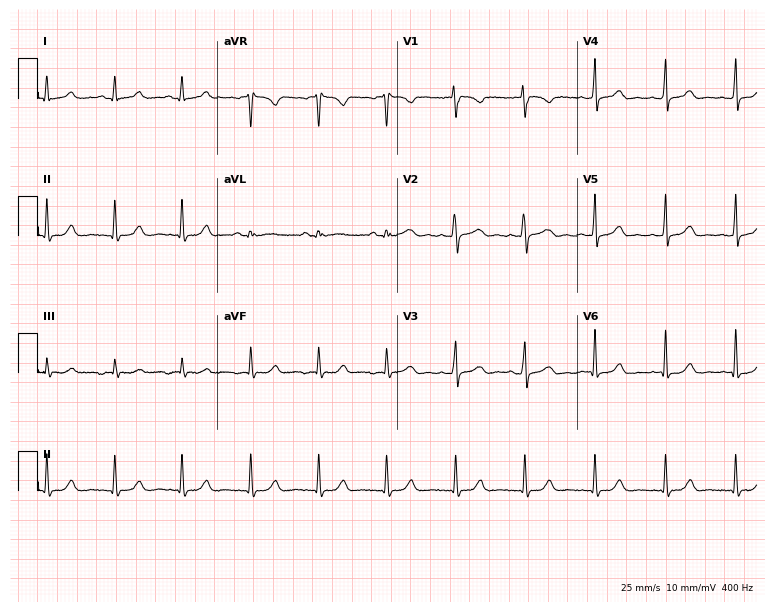
12-lead ECG from a 23-year-old woman. Labelled as a normal ECG.